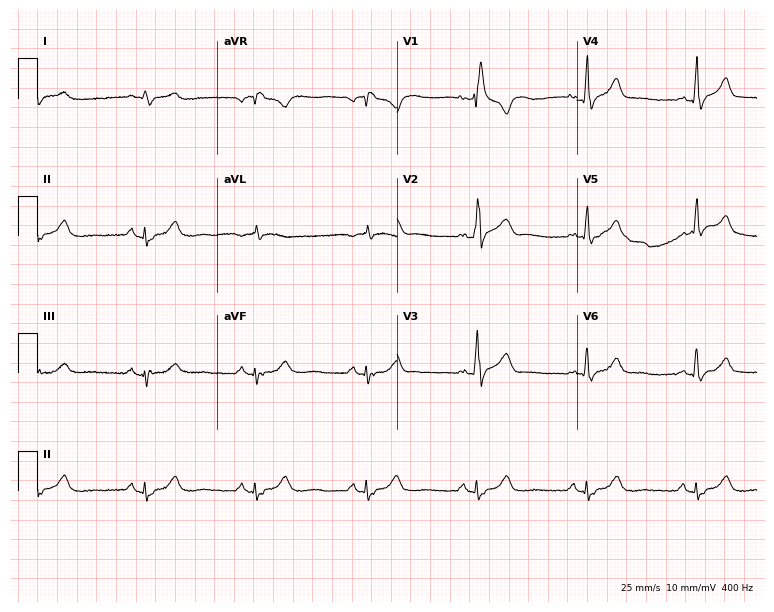
Resting 12-lead electrocardiogram. Patient: a man, 77 years old. The tracing shows right bundle branch block.